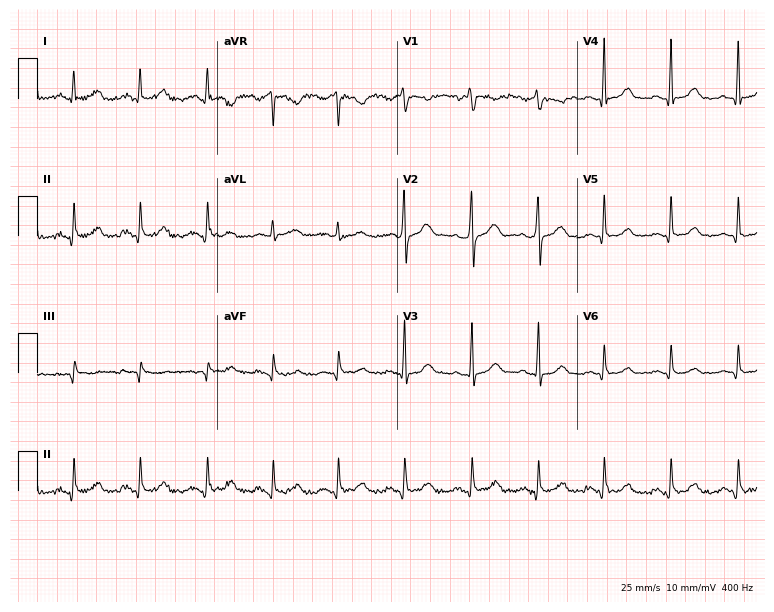
12-lead ECG (7.3-second recording at 400 Hz) from a 59-year-old woman. Screened for six findings — first-degree AV block, right bundle branch block, left bundle branch block, sinus bradycardia, atrial fibrillation, sinus tachycardia — none is recorded.